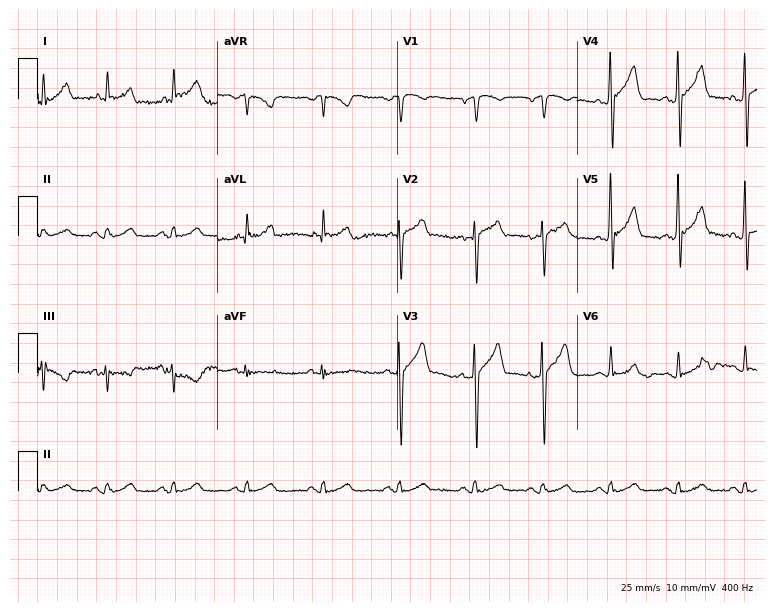
Standard 12-lead ECG recorded from a male patient, 58 years old. Read as a normal ECG.